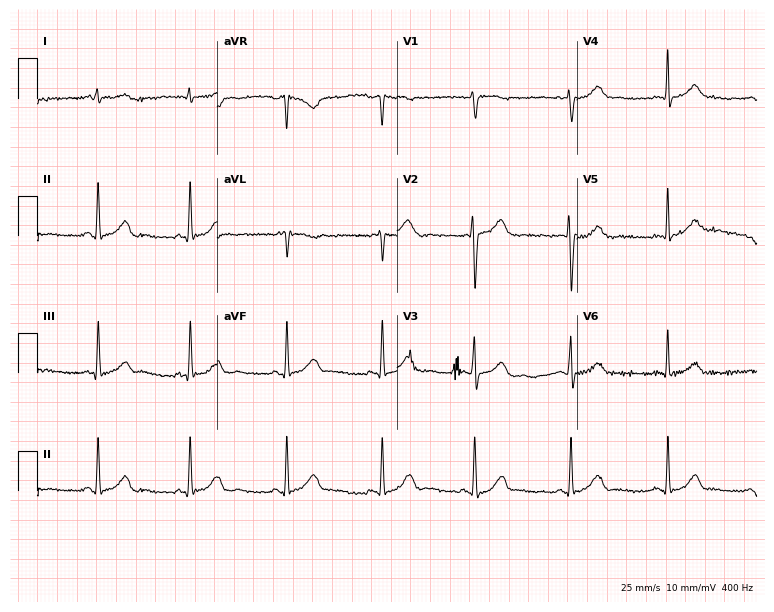
12-lead ECG from a woman, 49 years old. Screened for six findings — first-degree AV block, right bundle branch block (RBBB), left bundle branch block (LBBB), sinus bradycardia, atrial fibrillation (AF), sinus tachycardia — none is recorded. Only these six findings were labelled.